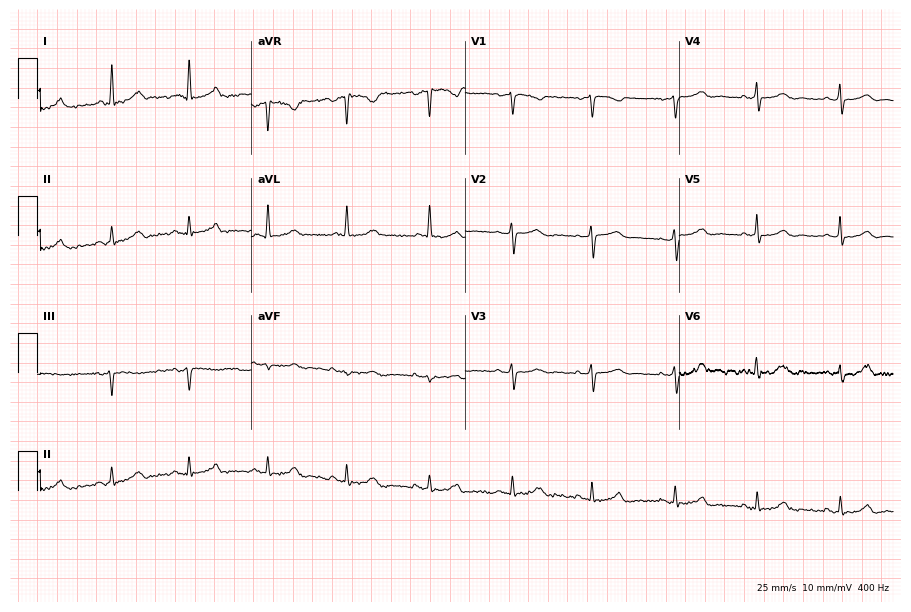
ECG — a 61-year-old female patient. Labelled as a normal ECG.